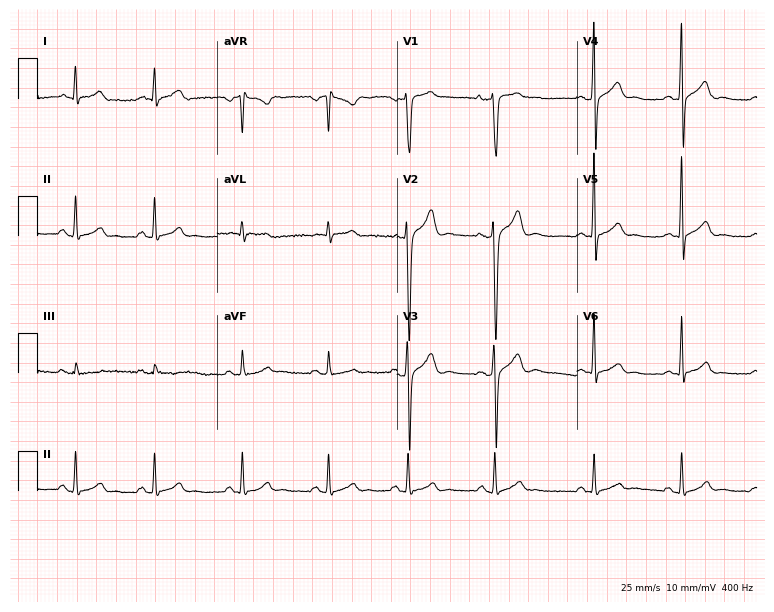
12-lead ECG (7.3-second recording at 400 Hz) from a male, 32 years old. Labelled as a normal ECG.